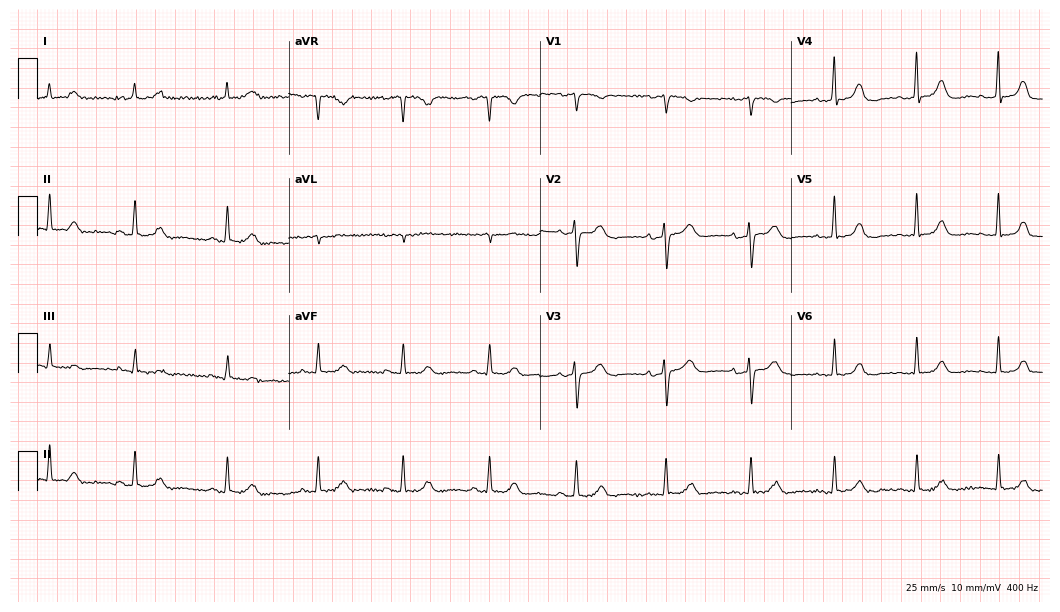
12-lead ECG from a 78-year-old female. No first-degree AV block, right bundle branch block, left bundle branch block, sinus bradycardia, atrial fibrillation or sinus tachycardia recorded for this tracing. Other findings, if any, are not listed.